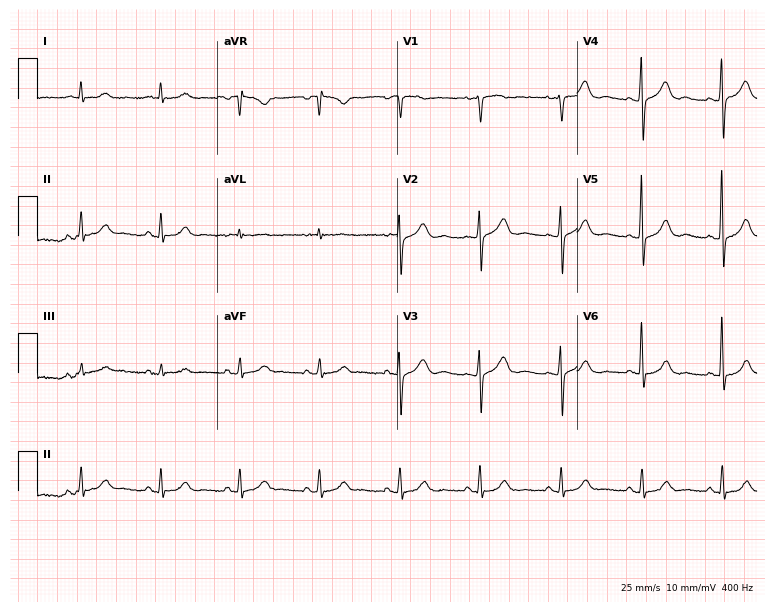
Electrocardiogram (7.3-second recording at 400 Hz), a 76-year-old female. Of the six screened findings (first-degree AV block, right bundle branch block, left bundle branch block, sinus bradycardia, atrial fibrillation, sinus tachycardia), none is recorded.